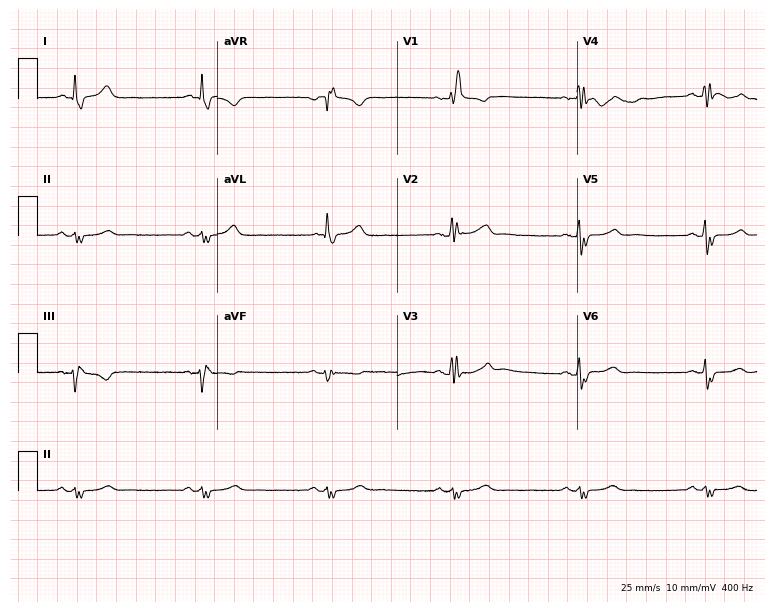
Resting 12-lead electrocardiogram (7.3-second recording at 400 Hz). Patient: a 64-year-old male. The tracing shows right bundle branch block, sinus bradycardia (a sinus rate of 50 beats per minute or less).